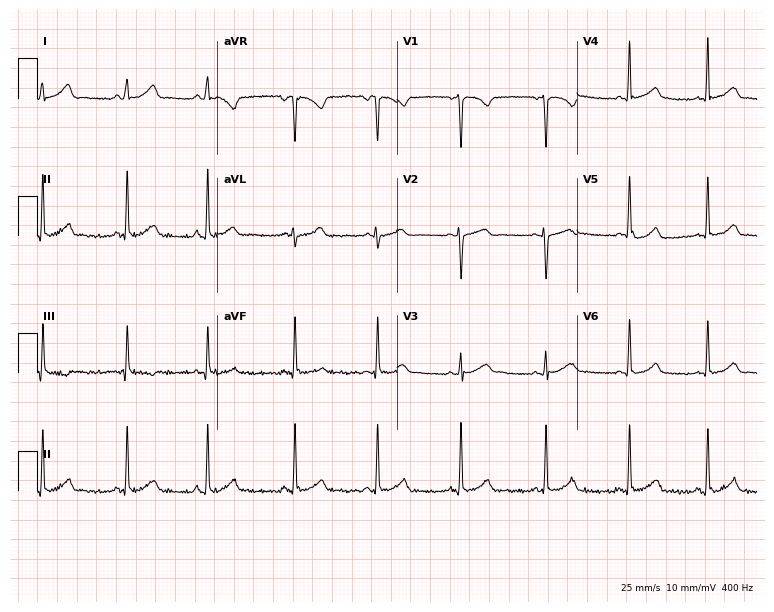
Resting 12-lead electrocardiogram. Patient: a woman, 19 years old. Read as a normal ECG.